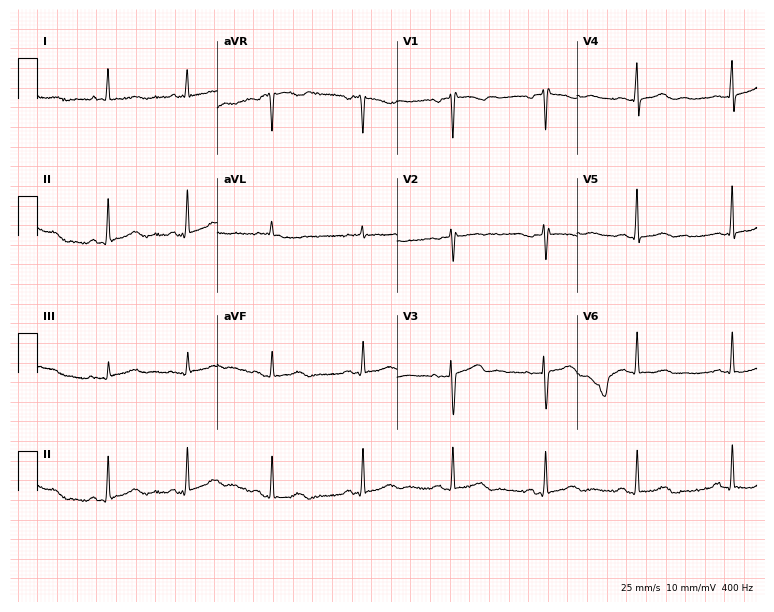
Standard 12-lead ECG recorded from a female patient, 51 years old. None of these six findings is recorded: first-degree AV block, right bundle branch block, left bundle branch block, sinus bradycardia, atrial fibrillation, sinus tachycardia. Only these six findings were labelled.